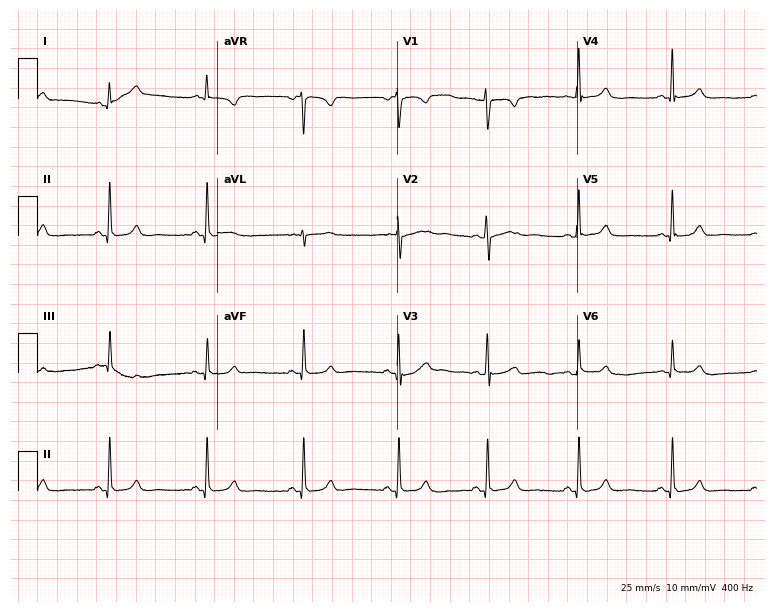
Standard 12-lead ECG recorded from a female patient, 29 years old (7.3-second recording at 400 Hz). None of these six findings is recorded: first-degree AV block, right bundle branch block, left bundle branch block, sinus bradycardia, atrial fibrillation, sinus tachycardia.